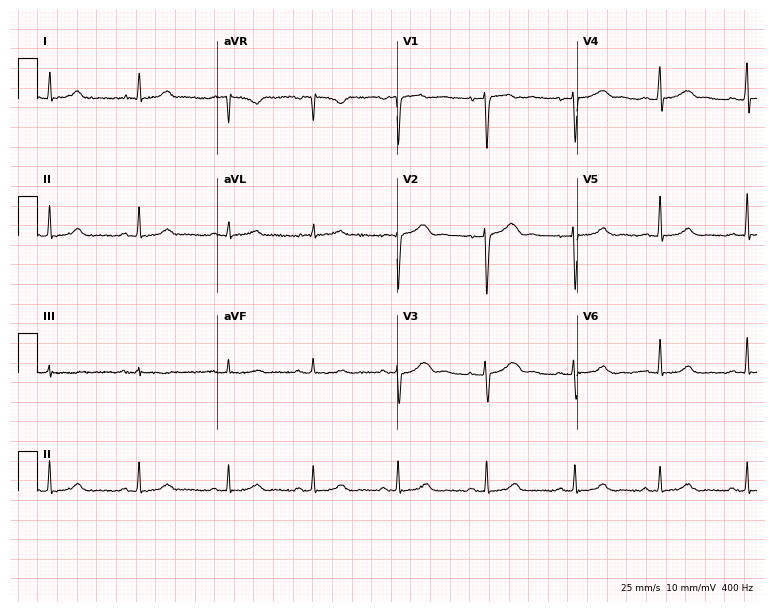
12-lead ECG from a 40-year-old female. Recorded interpretation: within normal limits.